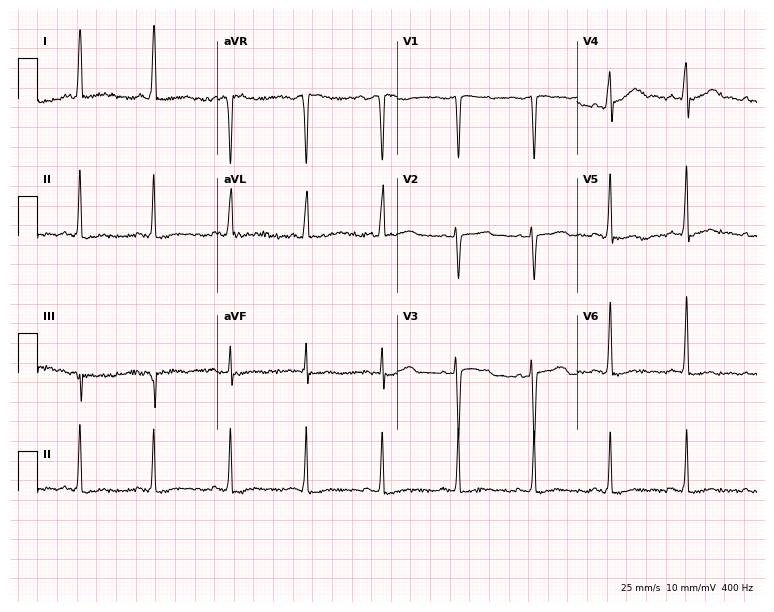
ECG (7.3-second recording at 400 Hz) — a woman, 64 years old. Screened for six findings — first-degree AV block, right bundle branch block, left bundle branch block, sinus bradycardia, atrial fibrillation, sinus tachycardia — none is recorded. Only these six findings were labelled.